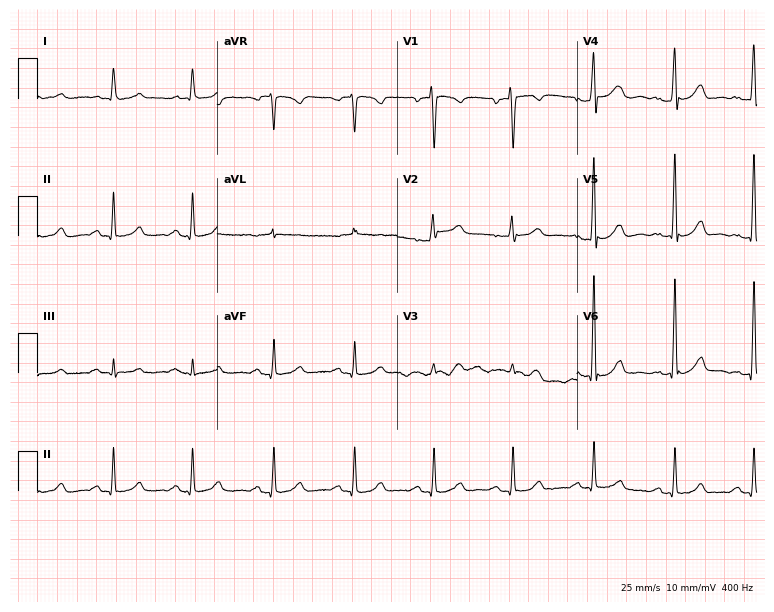
12-lead ECG from a male patient, 67 years old. Recorded interpretation: within normal limits.